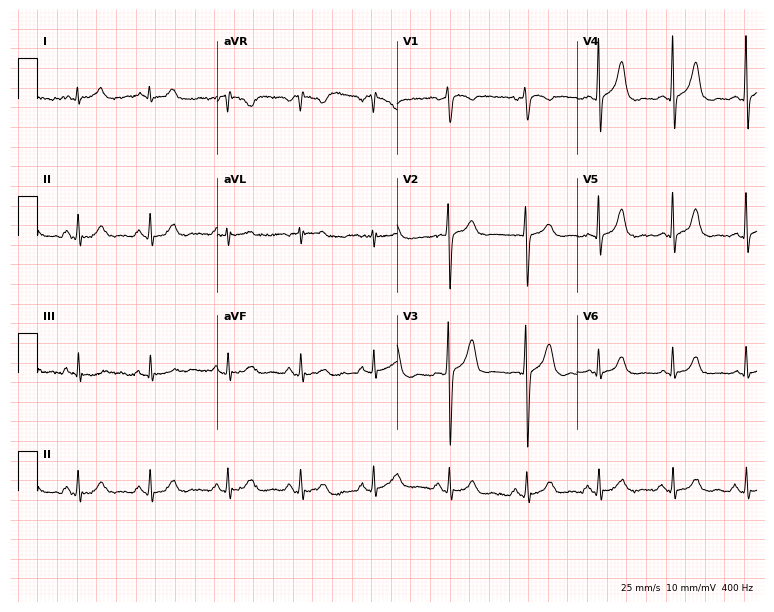
Standard 12-lead ECG recorded from a man, 31 years old (7.3-second recording at 400 Hz). Read as a normal ECG.